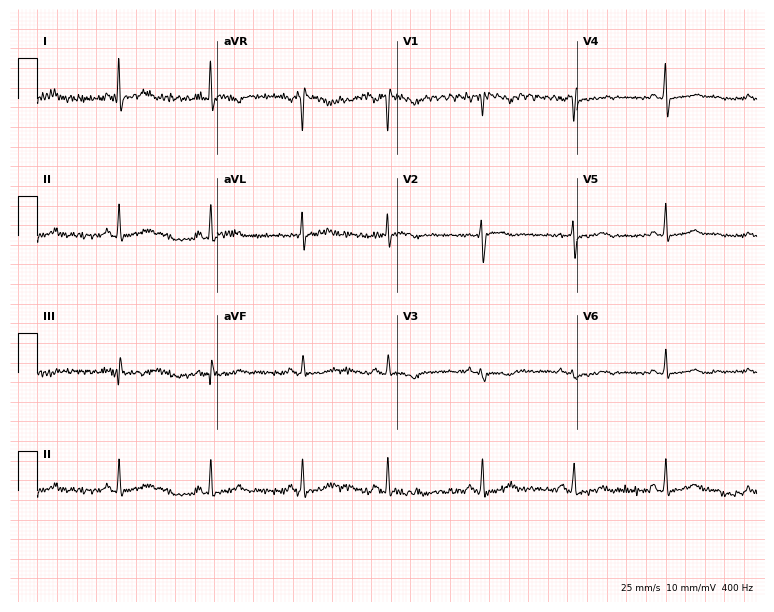
ECG — a 52-year-old female patient. Labelled as a normal ECG.